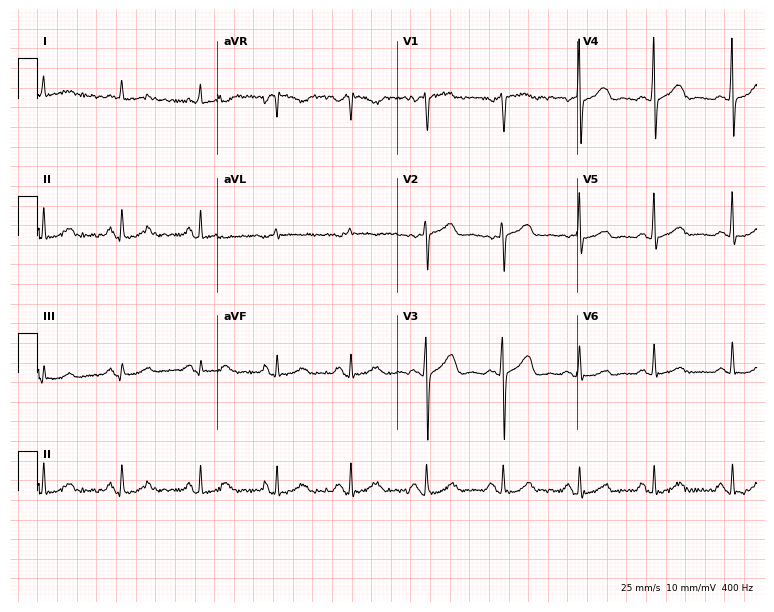
Electrocardiogram (7.3-second recording at 400 Hz), a woman, 63 years old. Of the six screened findings (first-degree AV block, right bundle branch block, left bundle branch block, sinus bradycardia, atrial fibrillation, sinus tachycardia), none is recorded.